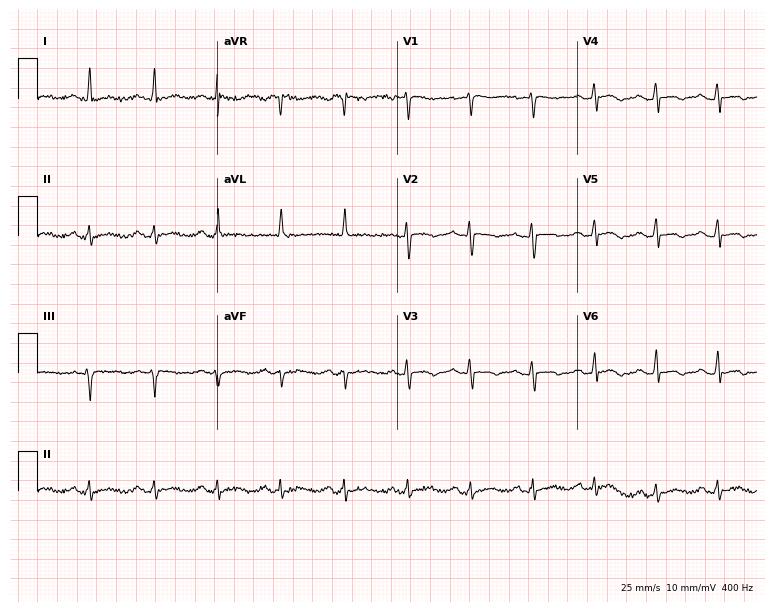
Electrocardiogram, a 38-year-old female patient. Of the six screened findings (first-degree AV block, right bundle branch block, left bundle branch block, sinus bradycardia, atrial fibrillation, sinus tachycardia), none is recorded.